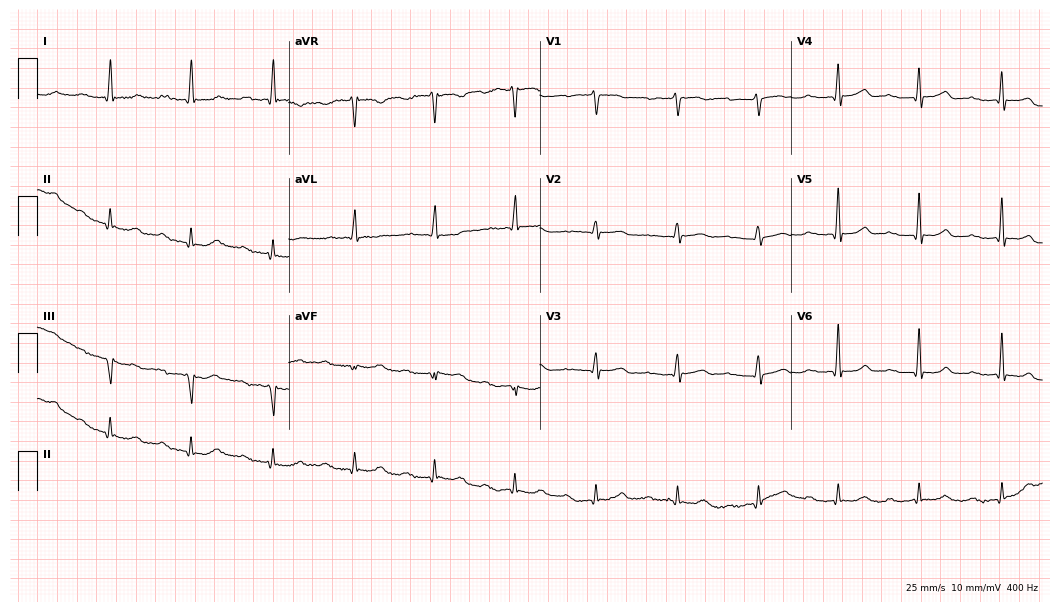
12-lead ECG from a female, 78 years old. Shows first-degree AV block.